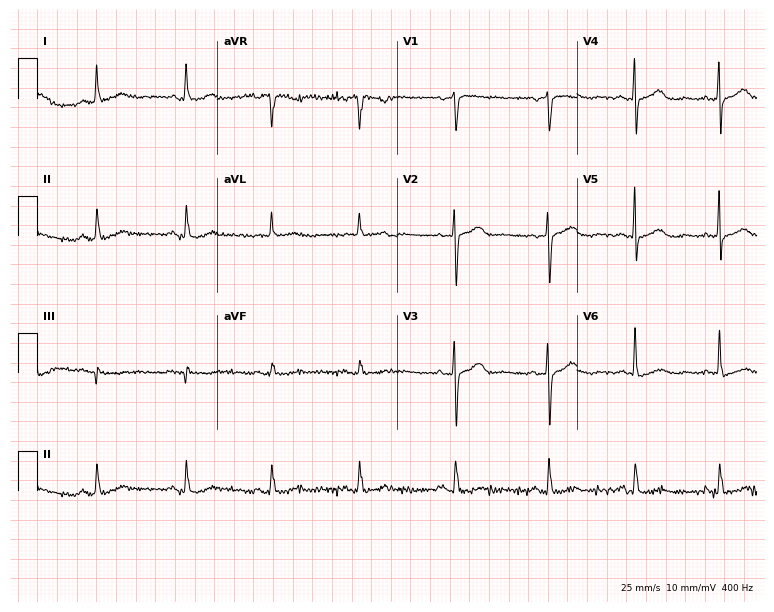
Electrocardiogram, a female, 79 years old. Of the six screened findings (first-degree AV block, right bundle branch block, left bundle branch block, sinus bradycardia, atrial fibrillation, sinus tachycardia), none is recorded.